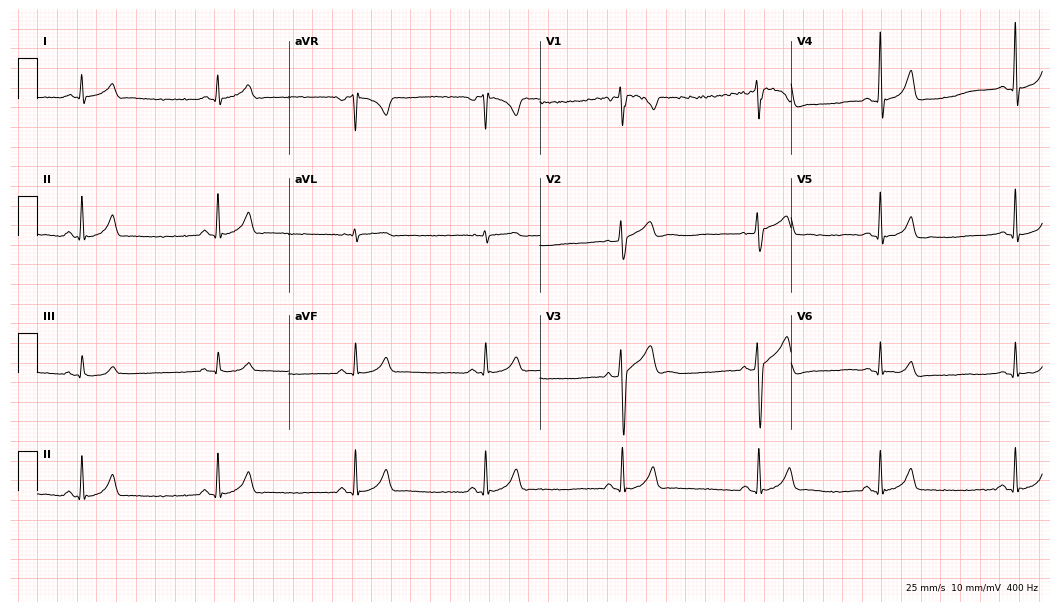
12-lead ECG from a male, 21 years old. Findings include sinus bradycardia (a sinus rate of 50 beats per minute or less).